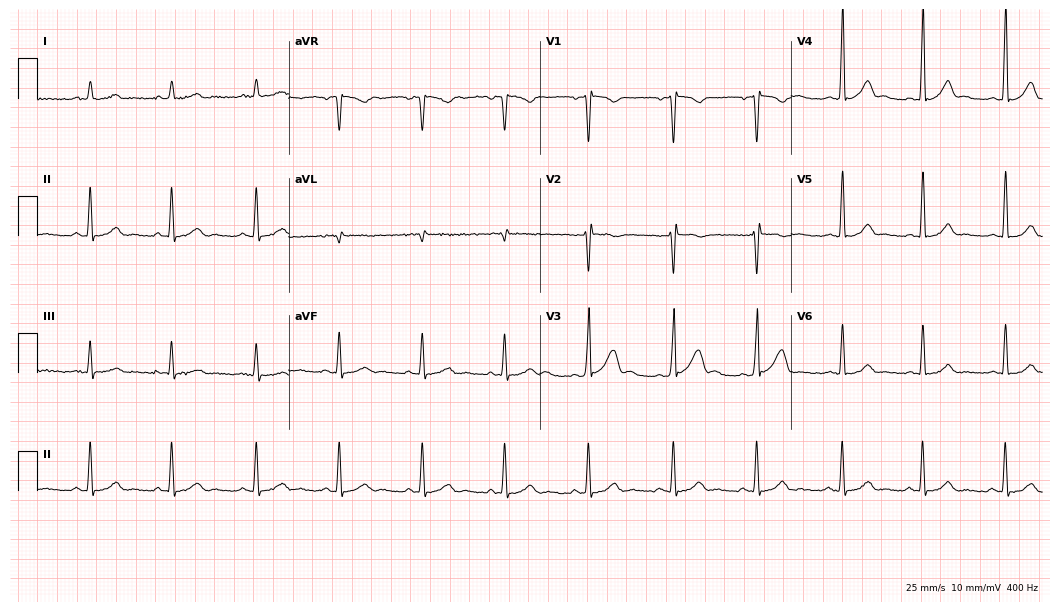
12-lead ECG from a male patient, 31 years old. No first-degree AV block, right bundle branch block (RBBB), left bundle branch block (LBBB), sinus bradycardia, atrial fibrillation (AF) or sinus tachycardia recorded for this tracing.